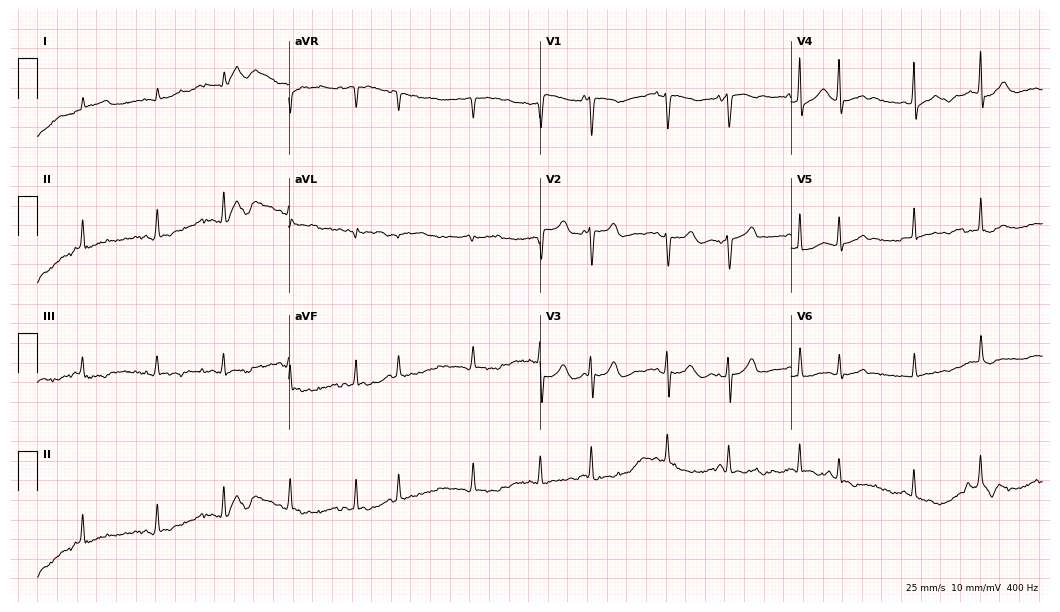
12-lead ECG from a female, 78 years old. No first-degree AV block, right bundle branch block, left bundle branch block, sinus bradycardia, atrial fibrillation or sinus tachycardia recorded for this tracing. Other findings, if any, are not listed.